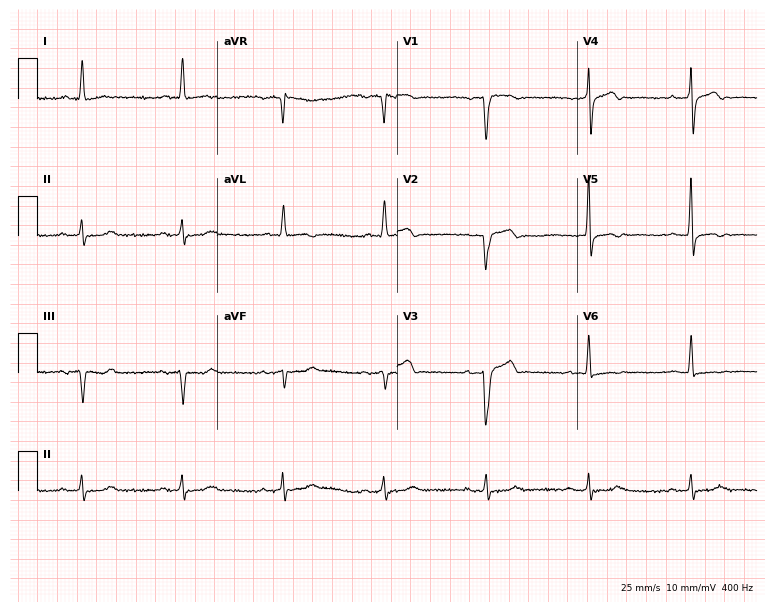
Resting 12-lead electrocardiogram. Patient: a man, 80 years old. None of these six findings is recorded: first-degree AV block, right bundle branch block, left bundle branch block, sinus bradycardia, atrial fibrillation, sinus tachycardia.